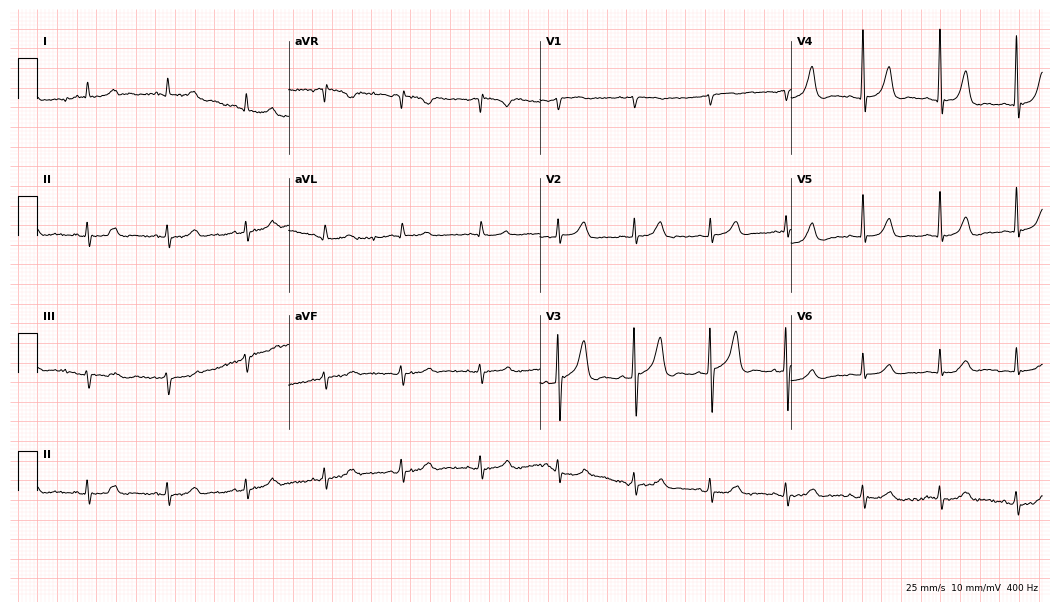
Resting 12-lead electrocardiogram. Patient: a man, 84 years old. None of these six findings is recorded: first-degree AV block, right bundle branch block, left bundle branch block, sinus bradycardia, atrial fibrillation, sinus tachycardia. Findings outside these six are not listed.